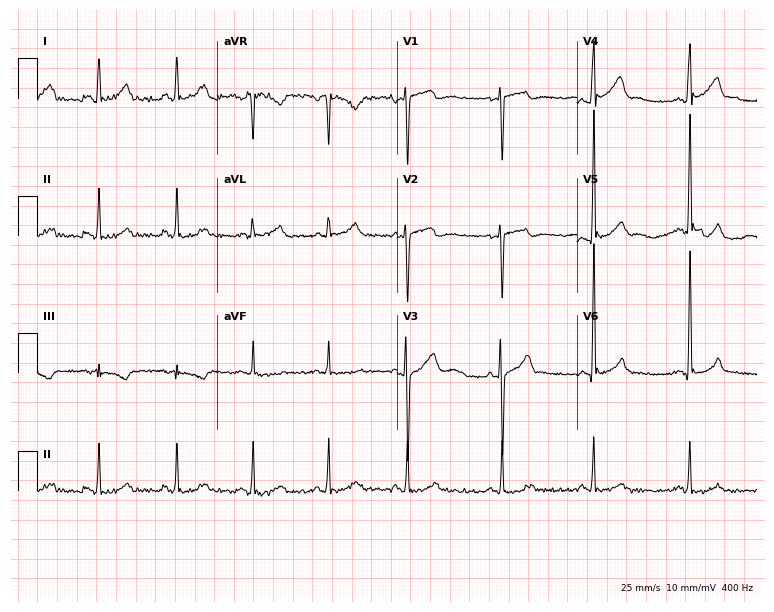
12-lead ECG from a male, 38 years old. Labelled as a normal ECG.